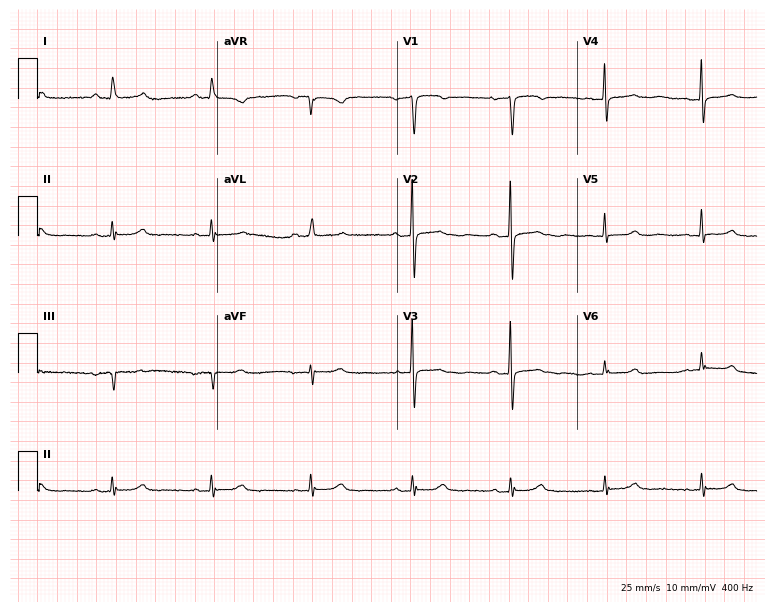
Electrocardiogram (7.3-second recording at 400 Hz), a 67-year-old woman. Overall reading on record: normal ECG.